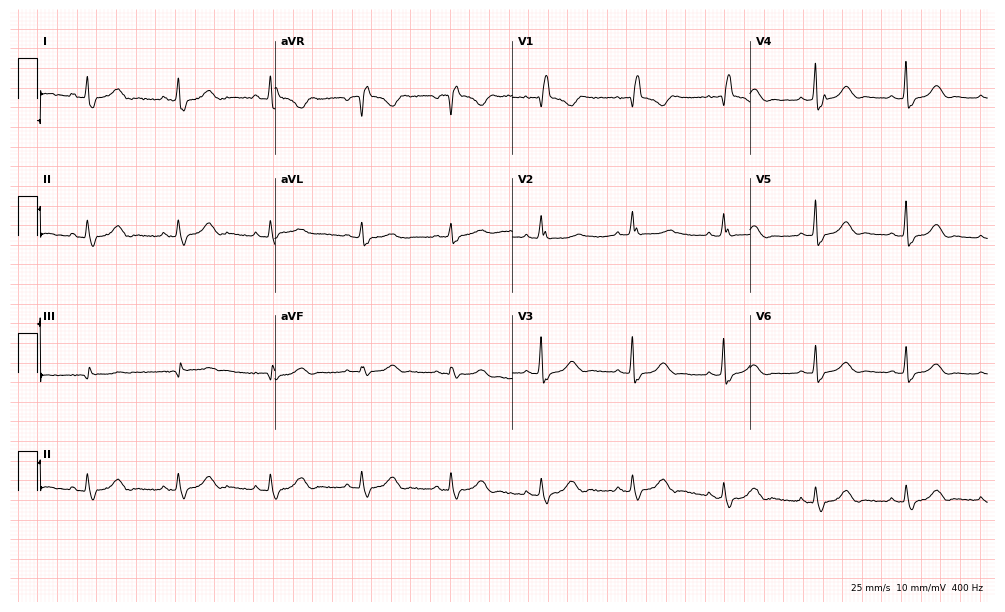
ECG — a woman, 73 years old. Findings include right bundle branch block (RBBB).